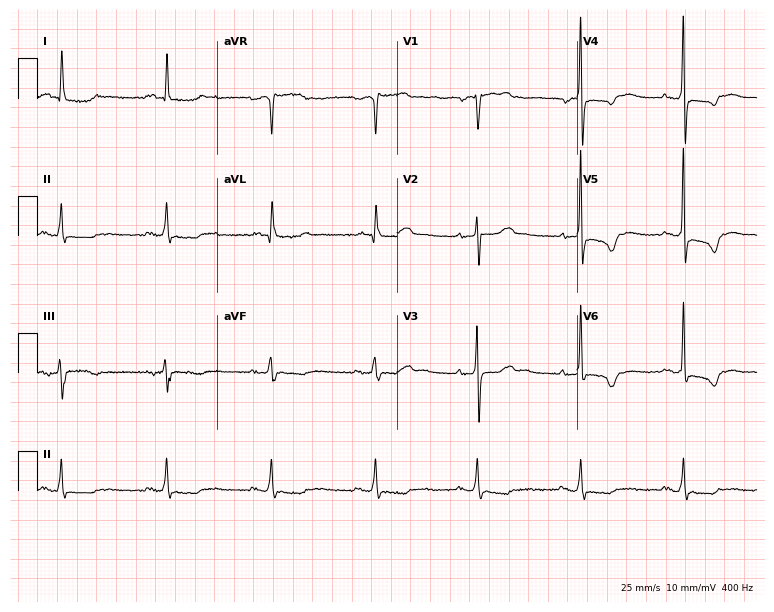
ECG (7.3-second recording at 400 Hz) — a male patient, 60 years old. Screened for six findings — first-degree AV block, right bundle branch block, left bundle branch block, sinus bradycardia, atrial fibrillation, sinus tachycardia — none is recorded.